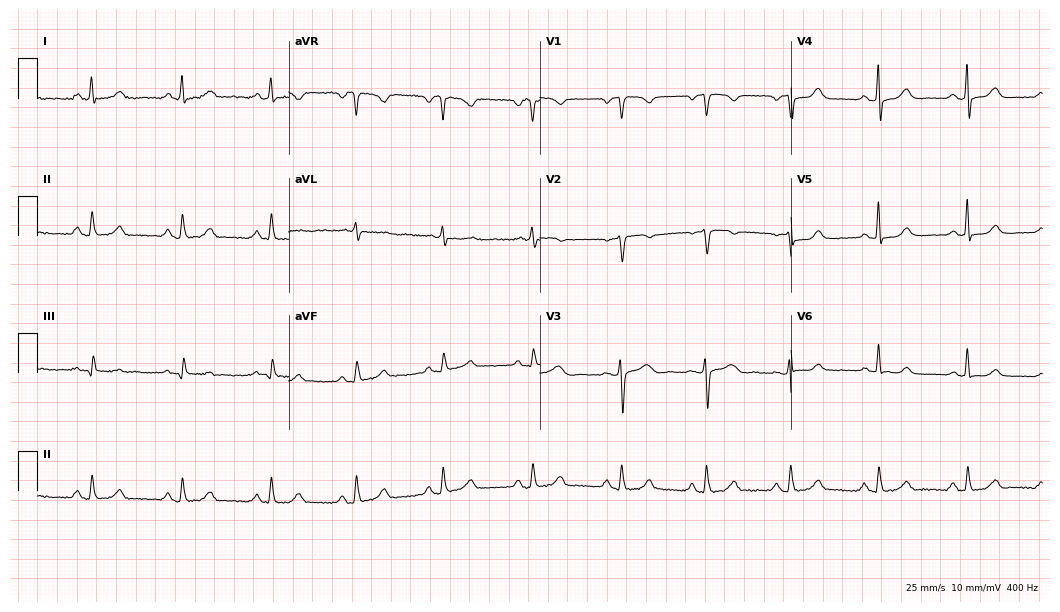
Standard 12-lead ECG recorded from a 54-year-old woman (10.2-second recording at 400 Hz). None of these six findings is recorded: first-degree AV block, right bundle branch block, left bundle branch block, sinus bradycardia, atrial fibrillation, sinus tachycardia.